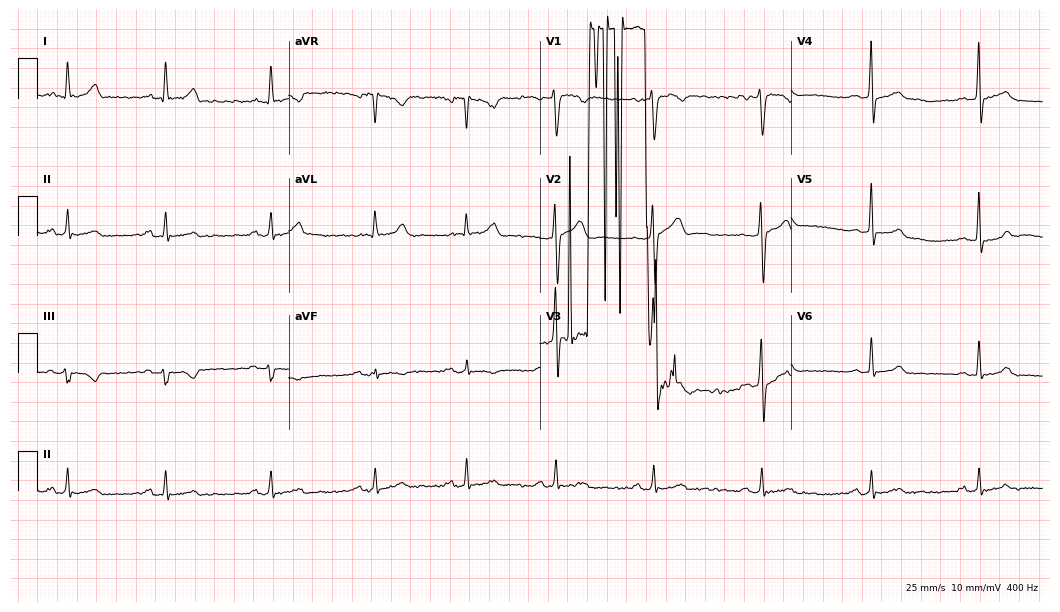
Standard 12-lead ECG recorded from a male patient, 22 years old. None of these six findings is recorded: first-degree AV block, right bundle branch block, left bundle branch block, sinus bradycardia, atrial fibrillation, sinus tachycardia.